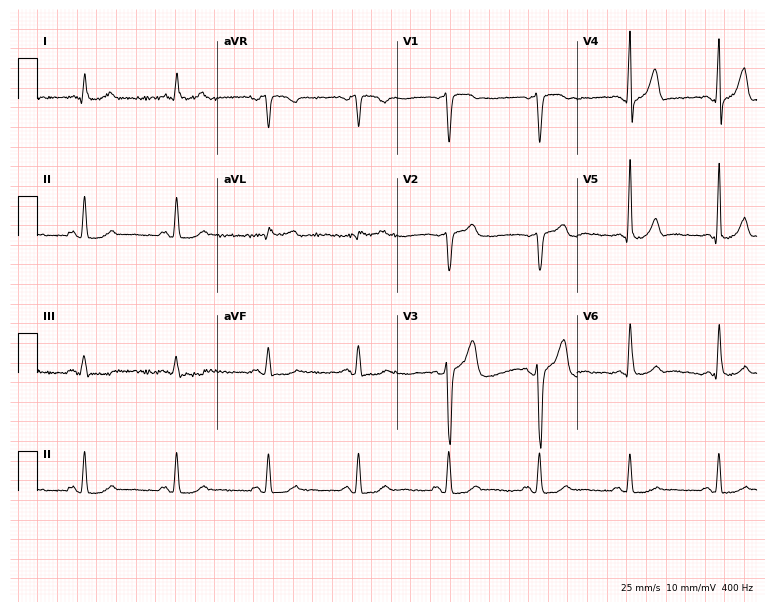
12-lead ECG from a man, 62 years old (7.3-second recording at 400 Hz). Recorded interpretation: within normal limits.